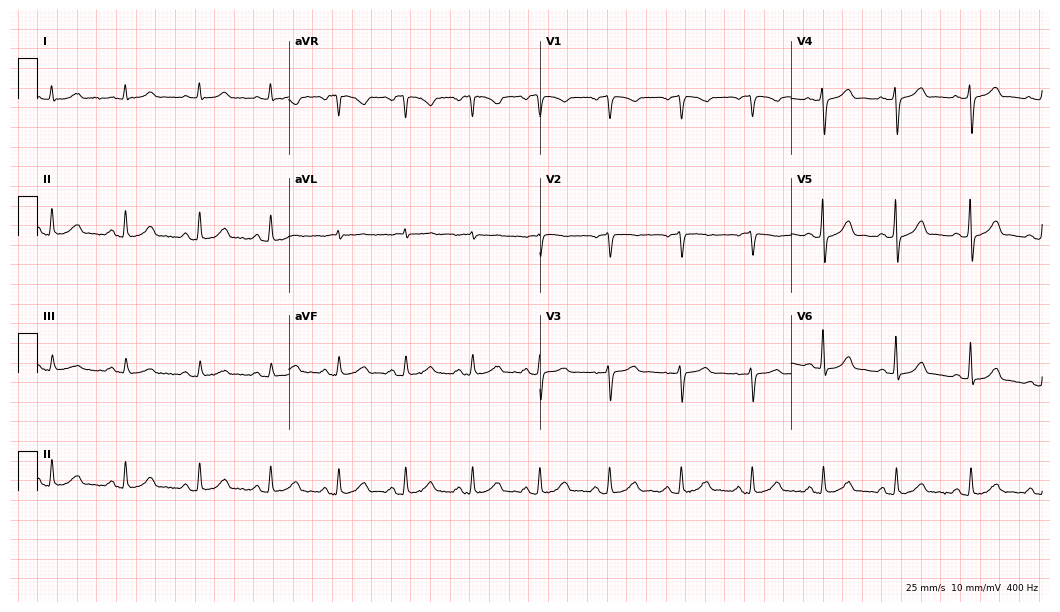
Electrocardiogram, a woman, 66 years old. Overall reading on record: normal ECG.